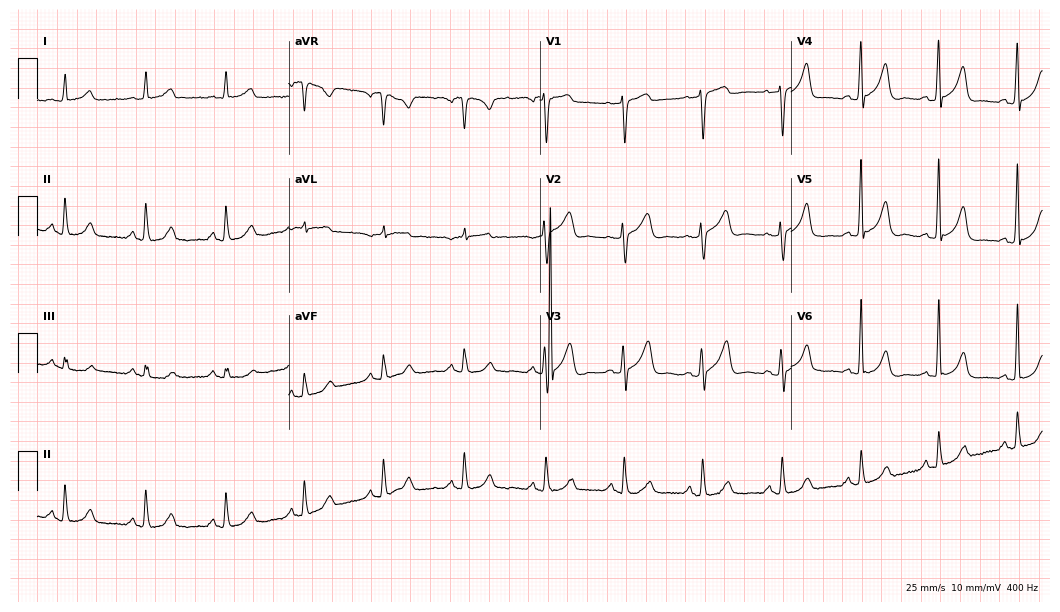
ECG (10.2-second recording at 400 Hz) — a woman, 81 years old. Screened for six findings — first-degree AV block, right bundle branch block (RBBB), left bundle branch block (LBBB), sinus bradycardia, atrial fibrillation (AF), sinus tachycardia — none is recorded.